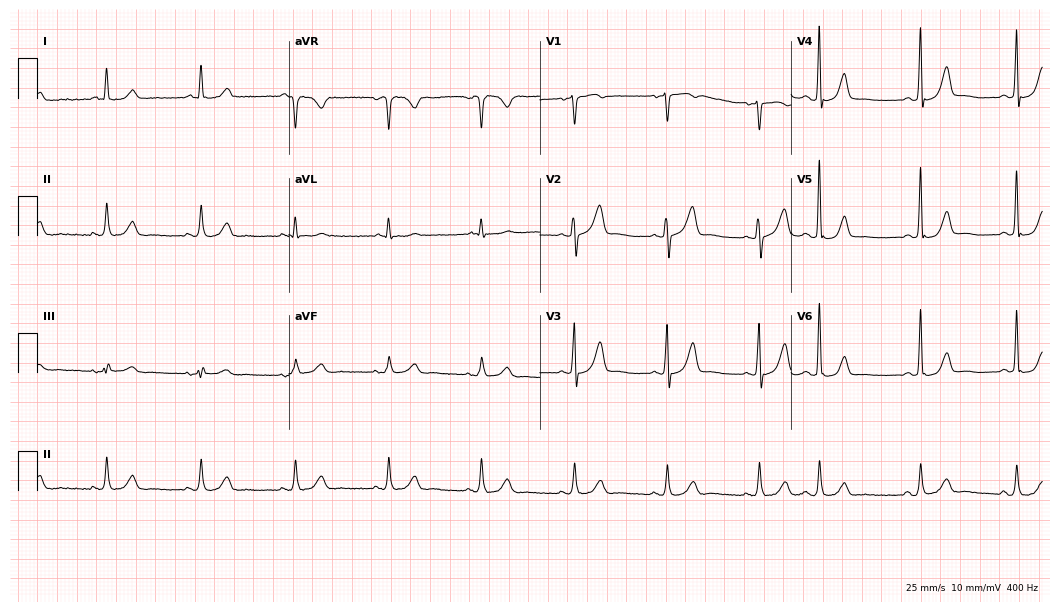
Standard 12-lead ECG recorded from a 67-year-old female patient. None of these six findings is recorded: first-degree AV block, right bundle branch block, left bundle branch block, sinus bradycardia, atrial fibrillation, sinus tachycardia. Findings outside these six are not listed.